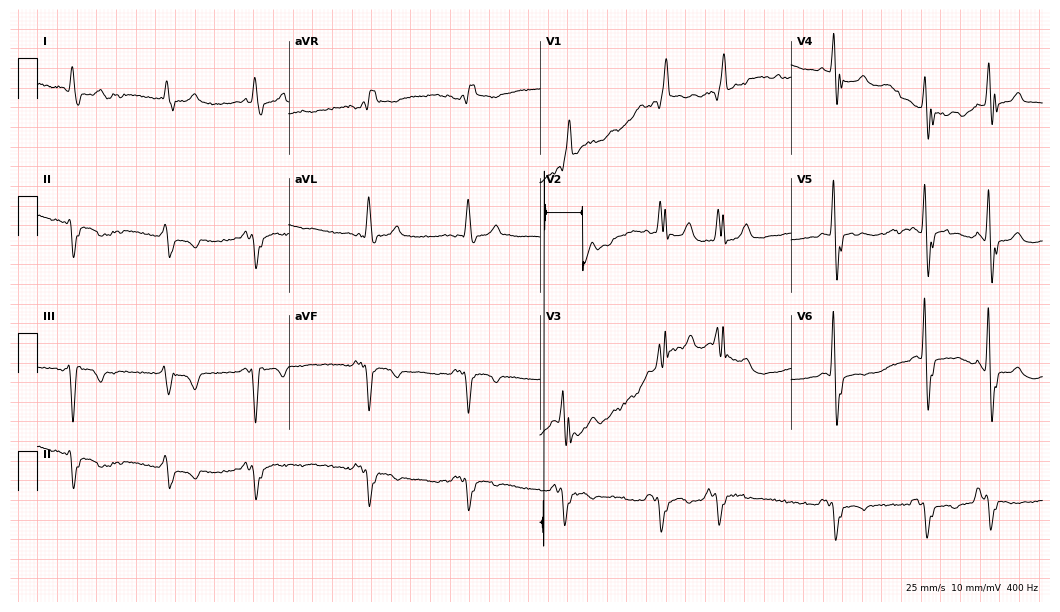
Standard 12-lead ECG recorded from a 74-year-old male patient (10.2-second recording at 400 Hz). None of these six findings is recorded: first-degree AV block, right bundle branch block (RBBB), left bundle branch block (LBBB), sinus bradycardia, atrial fibrillation (AF), sinus tachycardia.